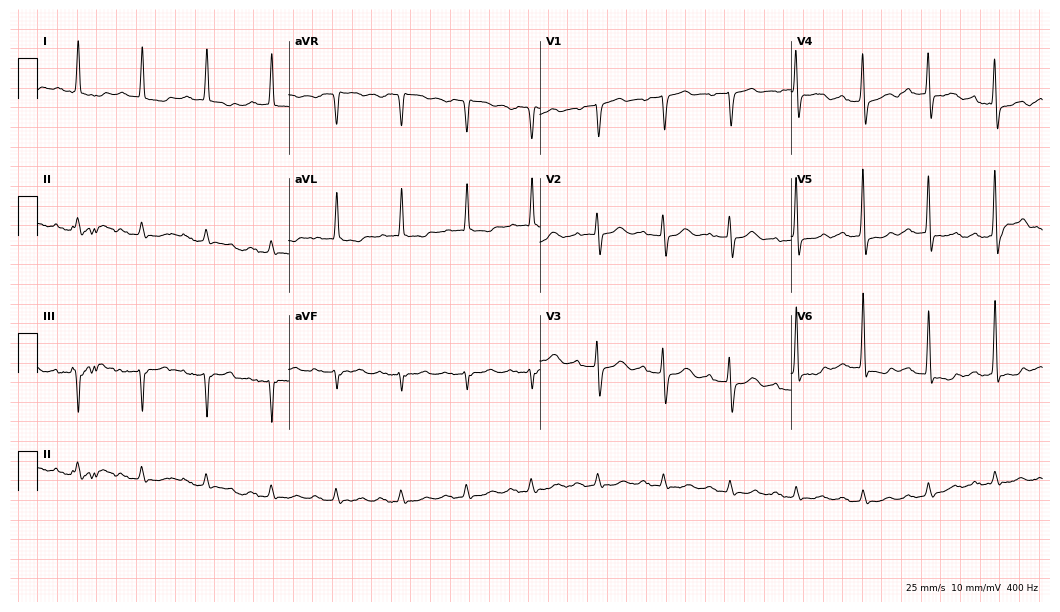
Resting 12-lead electrocardiogram (10.2-second recording at 400 Hz). Patient: a man, 85 years old. None of these six findings is recorded: first-degree AV block, right bundle branch block, left bundle branch block, sinus bradycardia, atrial fibrillation, sinus tachycardia.